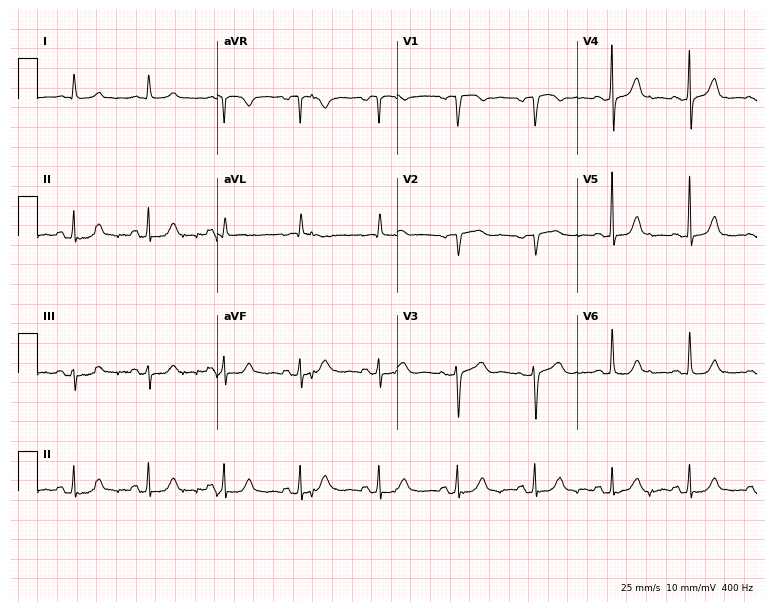
Electrocardiogram, a female, 57 years old. Of the six screened findings (first-degree AV block, right bundle branch block (RBBB), left bundle branch block (LBBB), sinus bradycardia, atrial fibrillation (AF), sinus tachycardia), none is recorded.